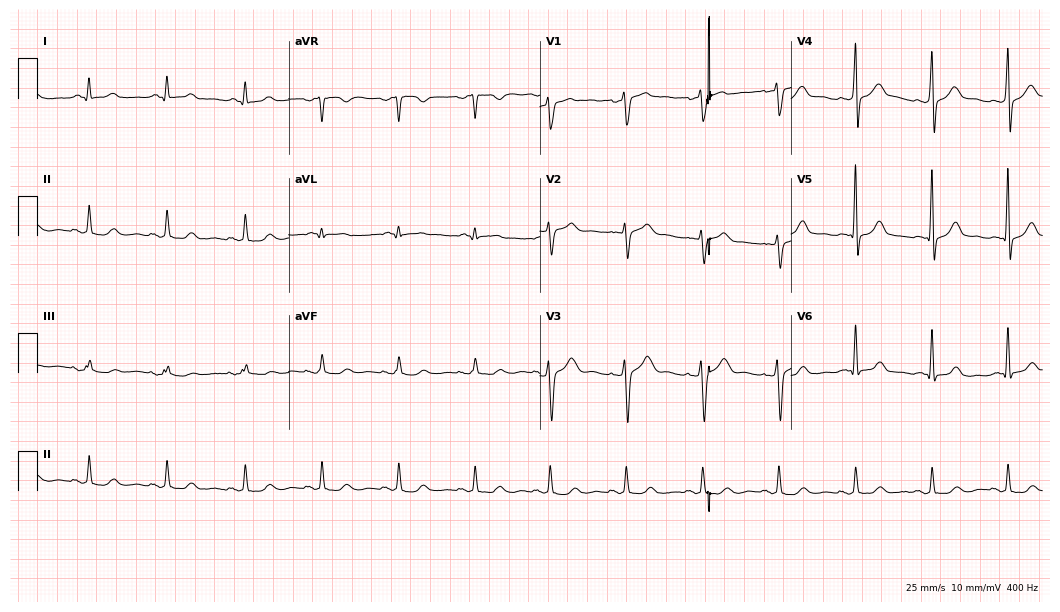
Standard 12-lead ECG recorded from a female patient, 51 years old. None of these six findings is recorded: first-degree AV block, right bundle branch block, left bundle branch block, sinus bradycardia, atrial fibrillation, sinus tachycardia.